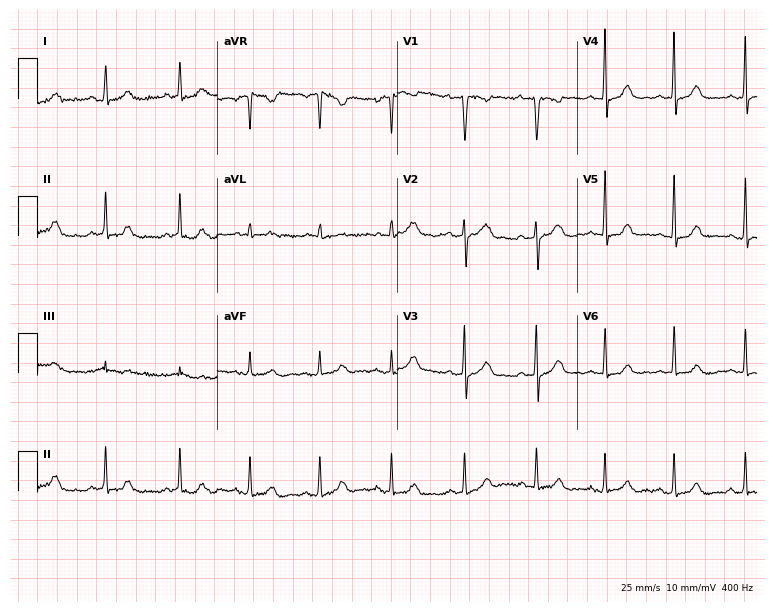
Electrocardiogram (7.3-second recording at 400 Hz), a woman, 32 years old. Of the six screened findings (first-degree AV block, right bundle branch block, left bundle branch block, sinus bradycardia, atrial fibrillation, sinus tachycardia), none is recorded. Other findings, if any, are not listed.